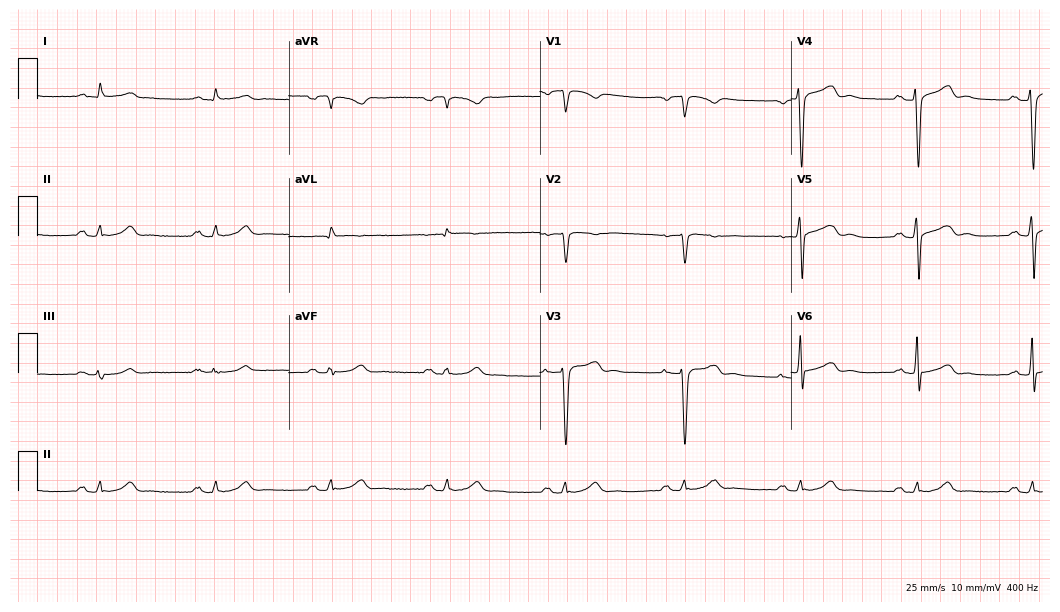
Standard 12-lead ECG recorded from a male, 74 years old (10.2-second recording at 400 Hz). None of these six findings is recorded: first-degree AV block, right bundle branch block (RBBB), left bundle branch block (LBBB), sinus bradycardia, atrial fibrillation (AF), sinus tachycardia. Findings outside these six are not listed.